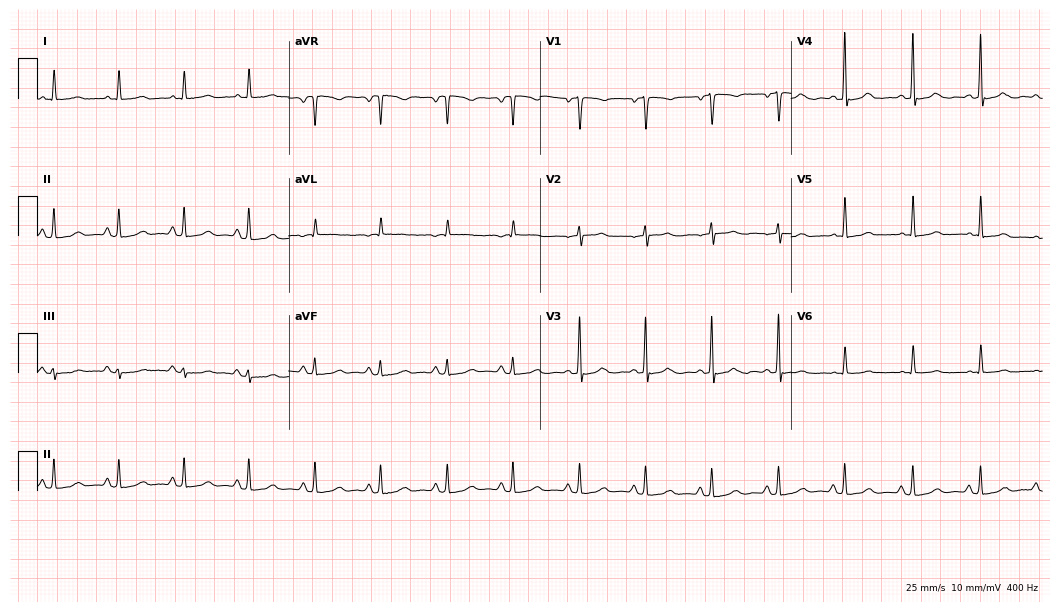
Electrocardiogram (10.2-second recording at 400 Hz), a 76-year-old male. Of the six screened findings (first-degree AV block, right bundle branch block, left bundle branch block, sinus bradycardia, atrial fibrillation, sinus tachycardia), none is recorded.